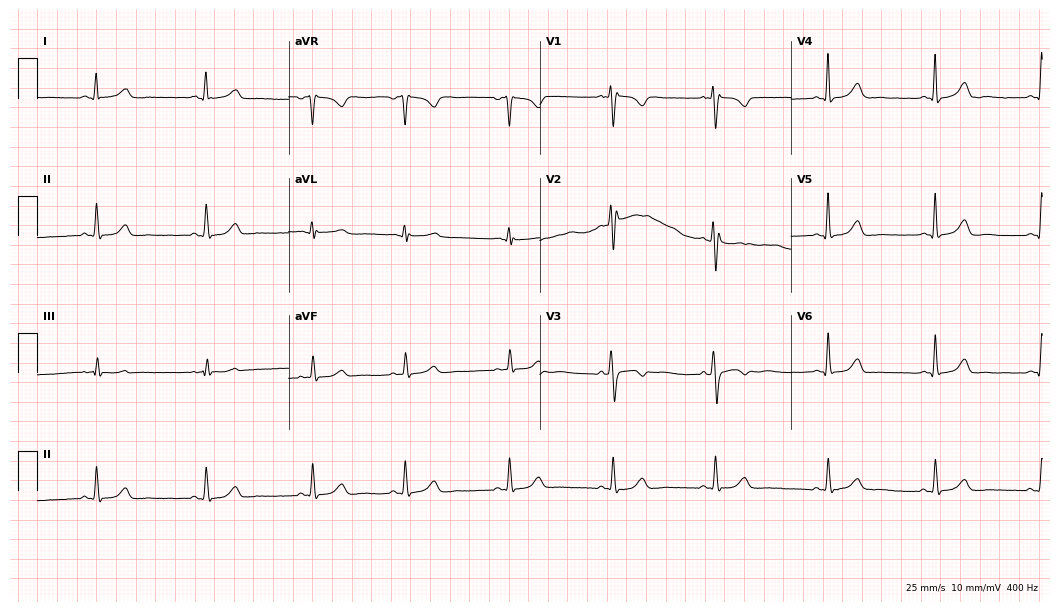
Standard 12-lead ECG recorded from a female patient, 21 years old (10.2-second recording at 400 Hz). Read as a normal ECG.